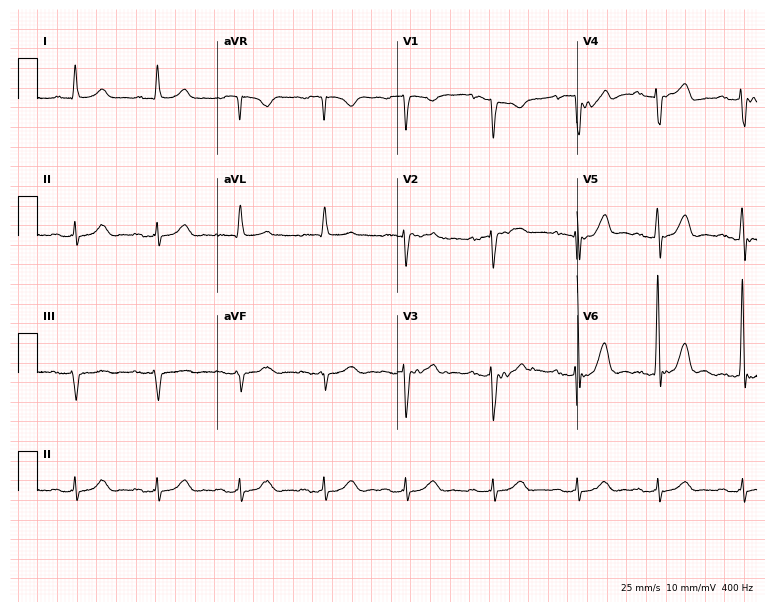
12-lead ECG from a 79-year-old male patient. No first-degree AV block, right bundle branch block, left bundle branch block, sinus bradycardia, atrial fibrillation or sinus tachycardia recorded for this tracing. Other findings, if any, are not listed.